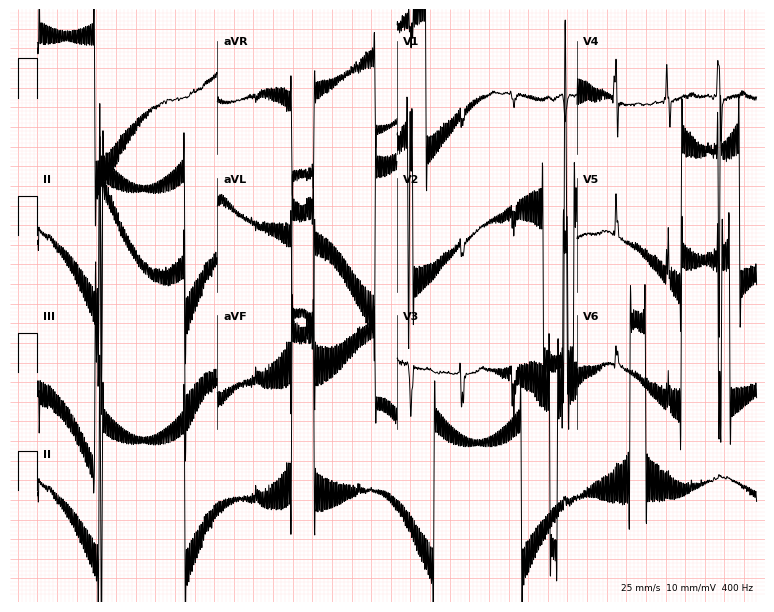
12-lead ECG from a female patient, 84 years old (7.3-second recording at 400 Hz). No first-degree AV block, right bundle branch block (RBBB), left bundle branch block (LBBB), sinus bradycardia, atrial fibrillation (AF) or sinus tachycardia recorded for this tracing.